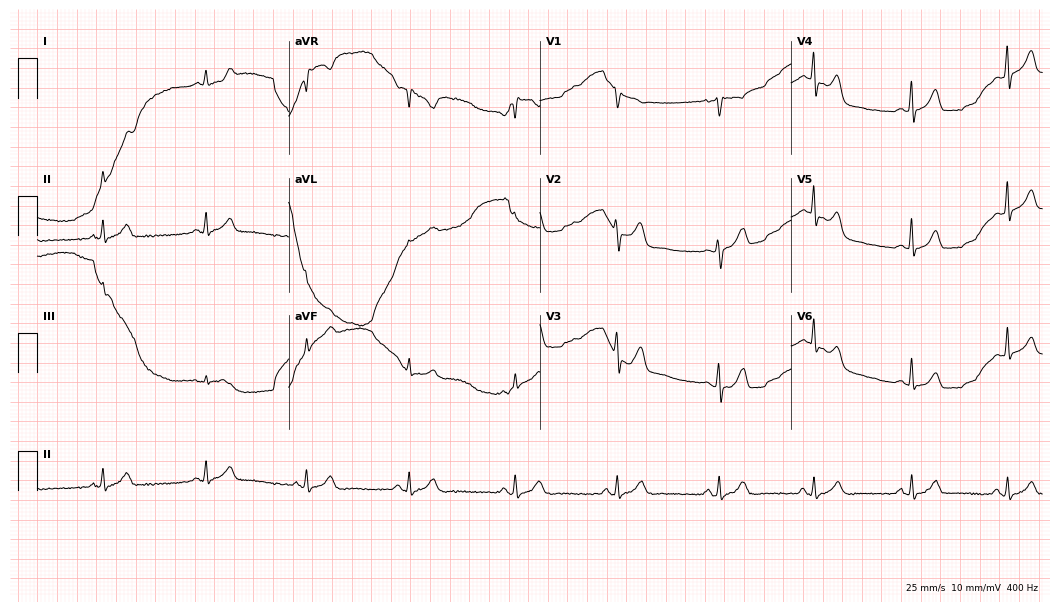
Standard 12-lead ECG recorded from a female patient, 30 years old. Read as a normal ECG.